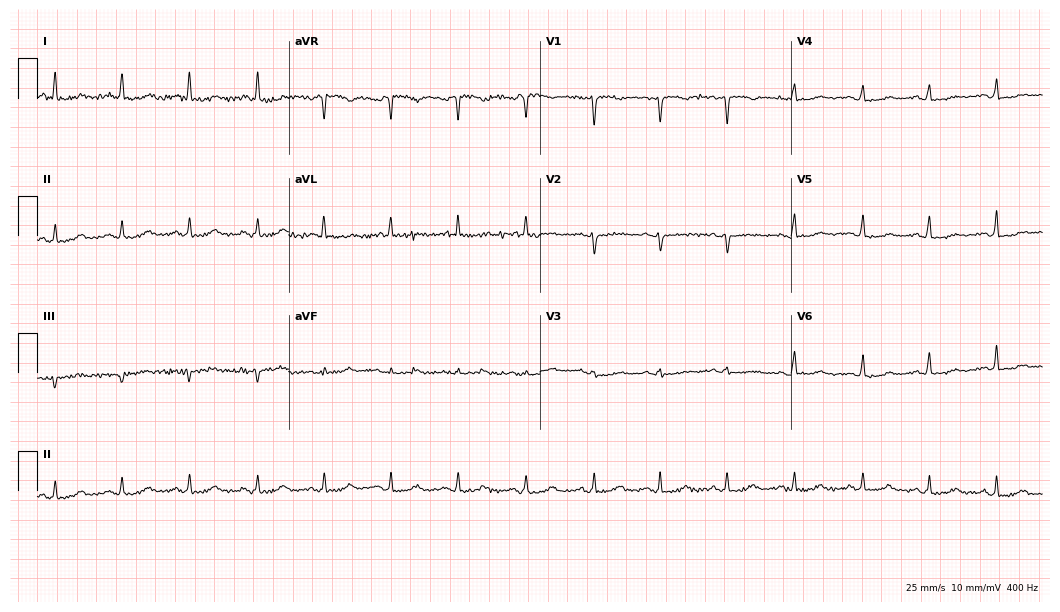
Resting 12-lead electrocardiogram (10.2-second recording at 400 Hz). Patient: a female, 60 years old. None of these six findings is recorded: first-degree AV block, right bundle branch block, left bundle branch block, sinus bradycardia, atrial fibrillation, sinus tachycardia. Other findings, if any, are not listed.